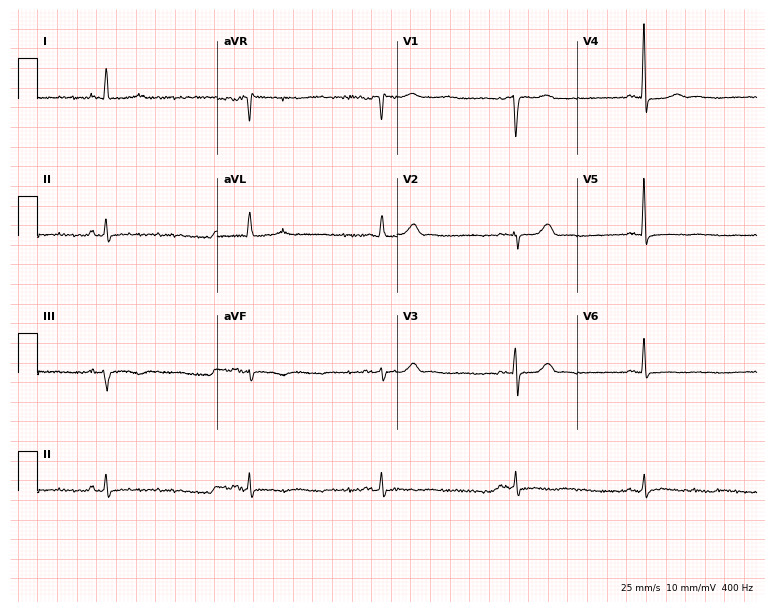
ECG — a 70-year-old male patient. Findings include sinus bradycardia (a sinus rate of 50 beats per minute or less).